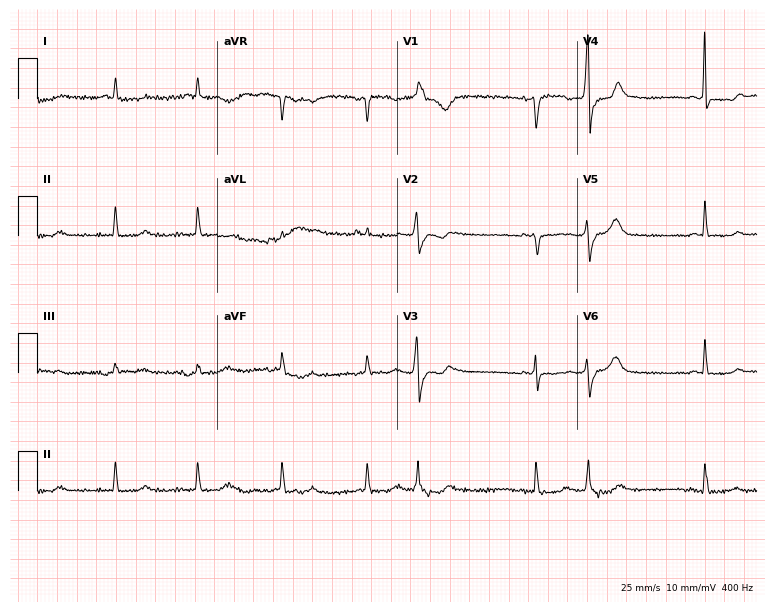
12-lead ECG from a female patient, 73 years old (7.3-second recording at 400 Hz). No first-degree AV block, right bundle branch block, left bundle branch block, sinus bradycardia, atrial fibrillation or sinus tachycardia recorded for this tracing.